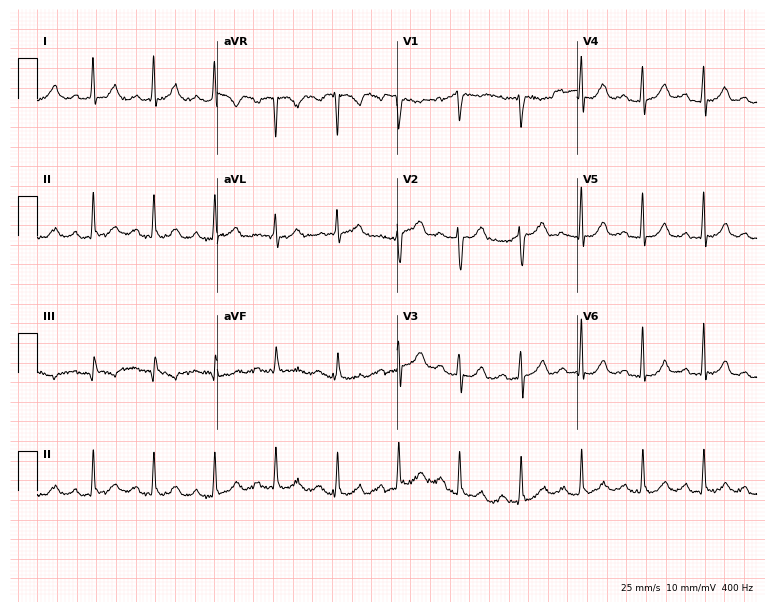
ECG — a female patient, 53 years old. Labelled as a normal ECG.